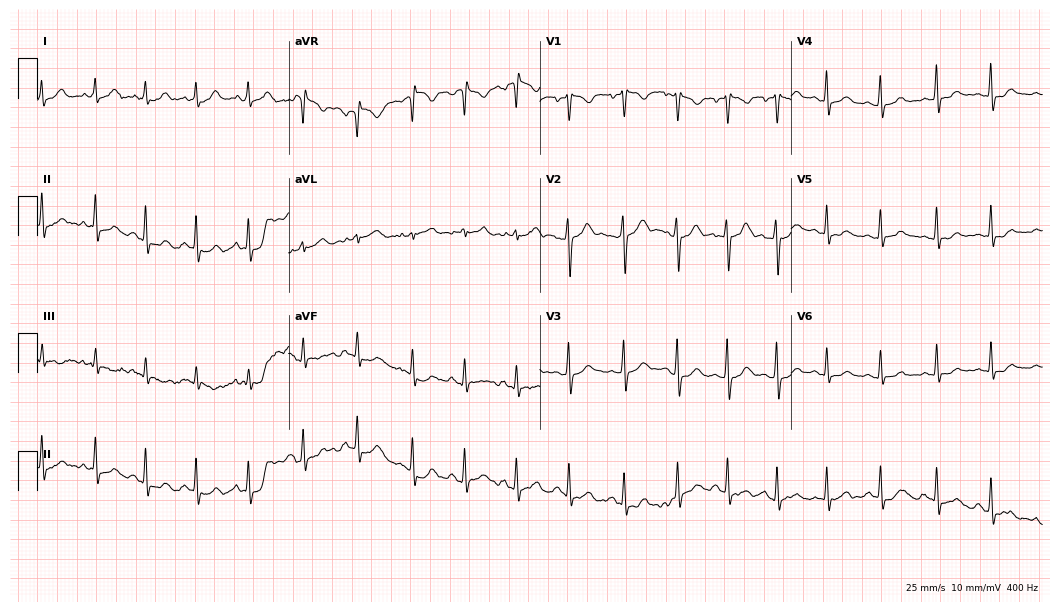
12-lead ECG from a woman, 25 years old (10.2-second recording at 400 Hz). Shows sinus tachycardia (a sinus rate of 100 beats per minute or more).